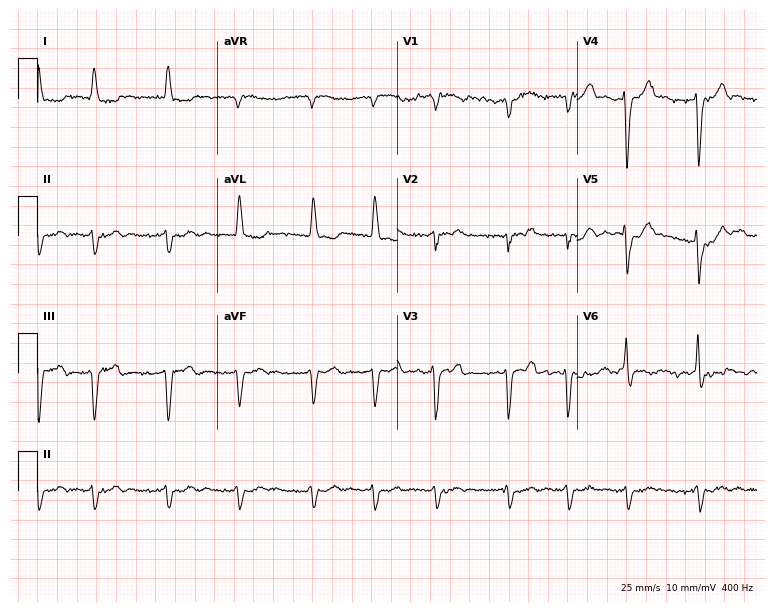
ECG (7.3-second recording at 400 Hz) — an 85-year-old female patient. Findings include atrial fibrillation (AF).